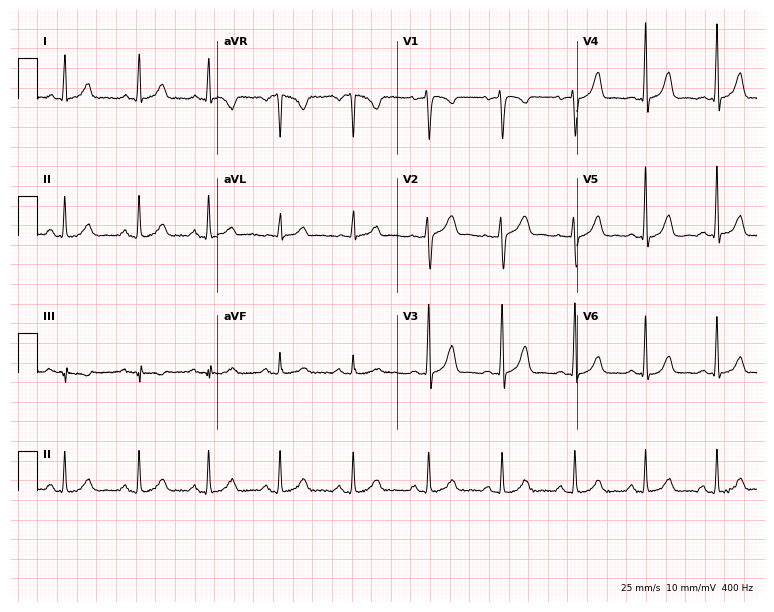
12-lead ECG from a 43-year-old woman (7.3-second recording at 400 Hz). Recorded interpretation: within normal limits.